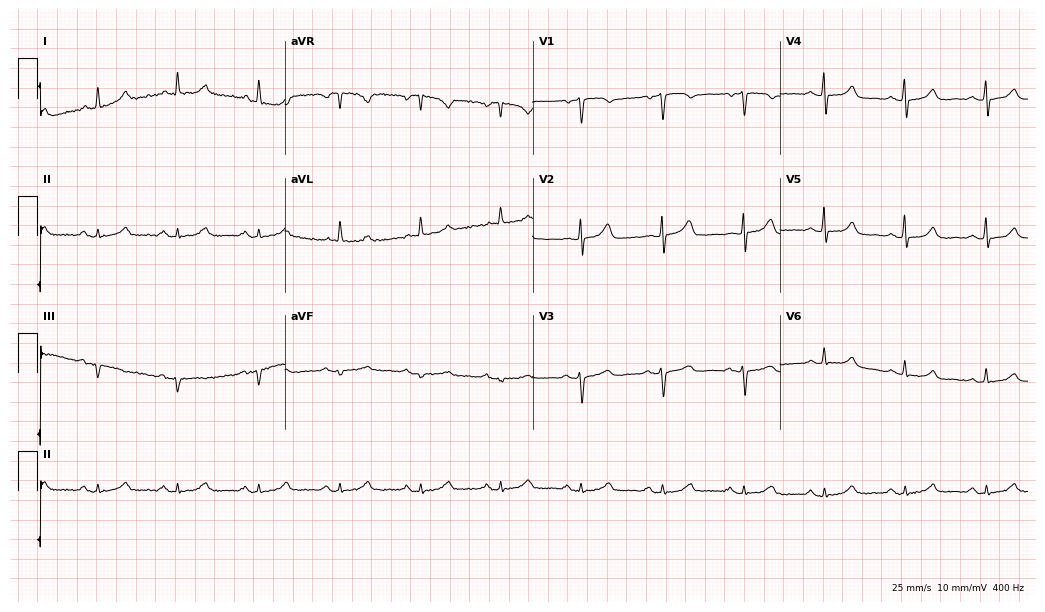
Electrocardiogram (10.1-second recording at 400 Hz), a 73-year-old woman. Of the six screened findings (first-degree AV block, right bundle branch block, left bundle branch block, sinus bradycardia, atrial fibrillation, sinus tachycardia), none is recorded.